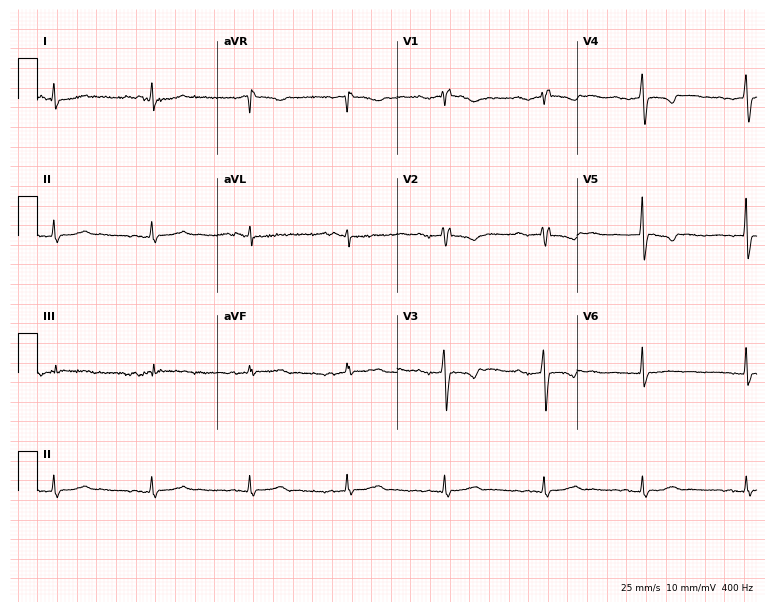
12-lead ECG from a 54-year-old woman. Screened for six findings — first-degree AV block, right bundle branch block, left bundle branch block, sinus bradycardia, atrial fibrillation, sinus tachycardia — none is recorded. Other findings, if any, are not listed.